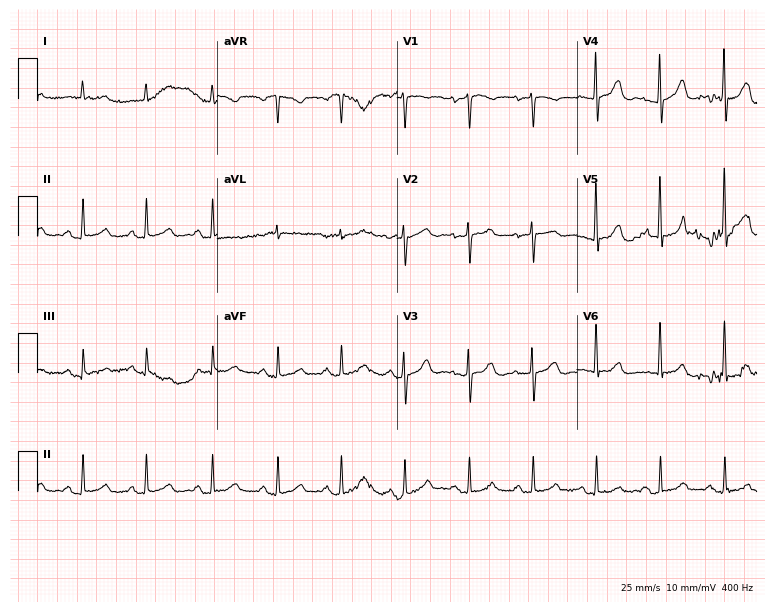
Resting 12-lead electrocardiogram. Patient: a 51-year-old female. None of these six findings is recorded: first-degree AV block, right bundle branch block, left bundle branch block, sinus bradycardia, atrial fibrillation, sinus tachycardia.